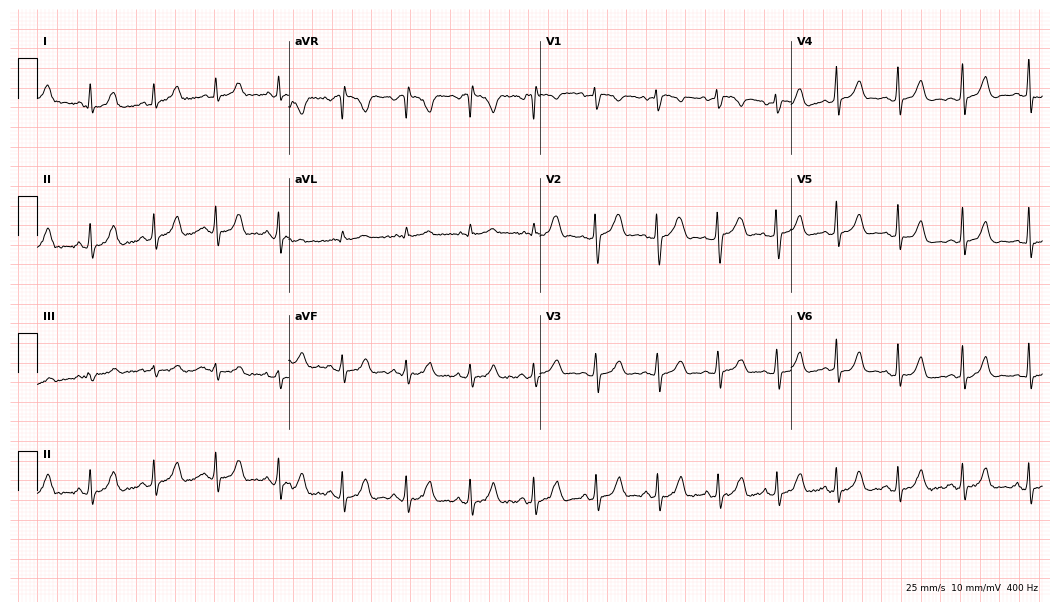
Electrocardiogram (10.2-second recording at 400 Hz), a 27-year-old female. Overall reading on record: normal ECG.